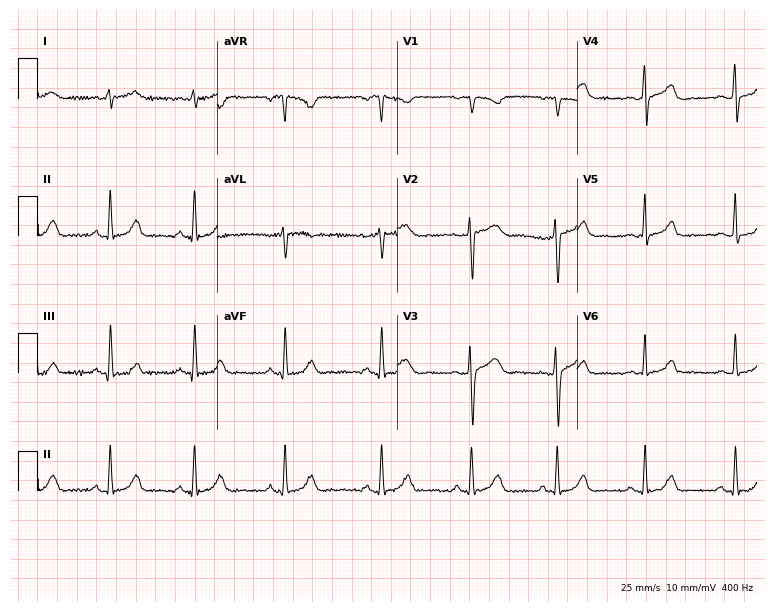
Resting 12-lead electrocardiogram. Patient: a female, 39 years old. None of these six findings is recorded: first-degree AV block, right bundle branch block, left bundle branch block, sinus bradycardia, atrial fibrillation, sinus tachycardia. Only these six findings were labelled.